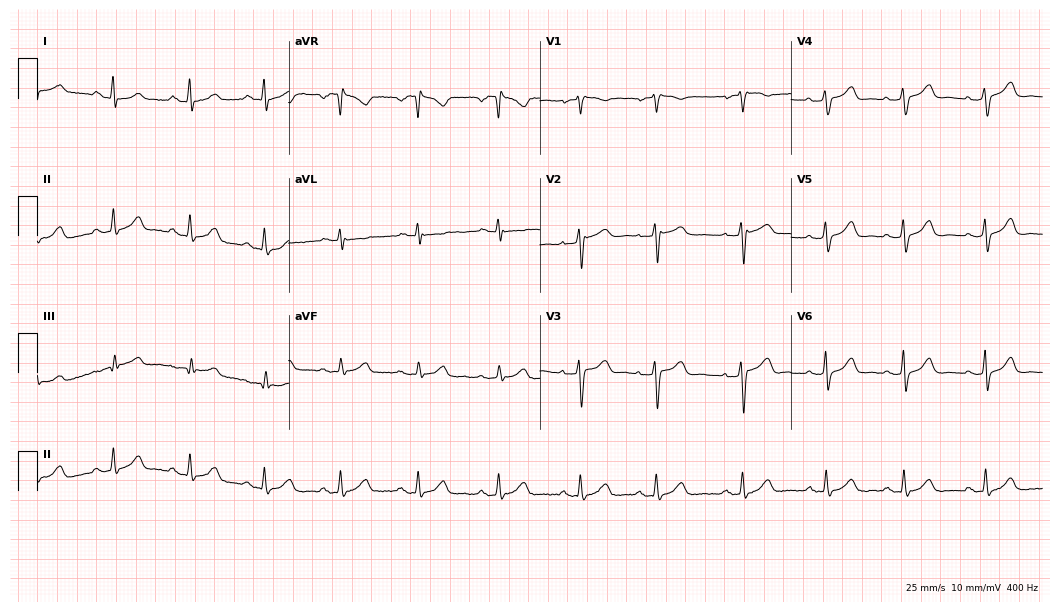
12-lead ECG from a female, 37 years old. Recorded interpretation: within normal limits.